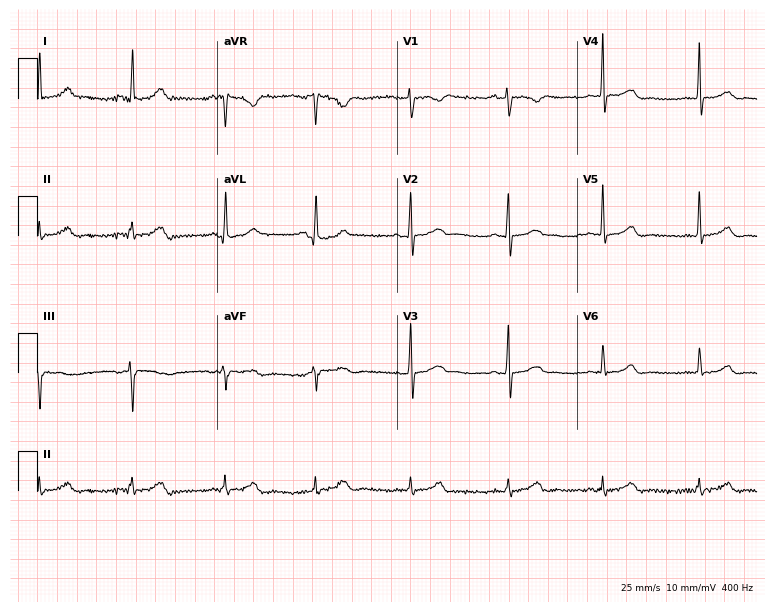
Resting 12-lead electrocardiogram (7.3-second recording at 400 Hz). Patient: a 42-year-old woman. Read as a normal ECG.